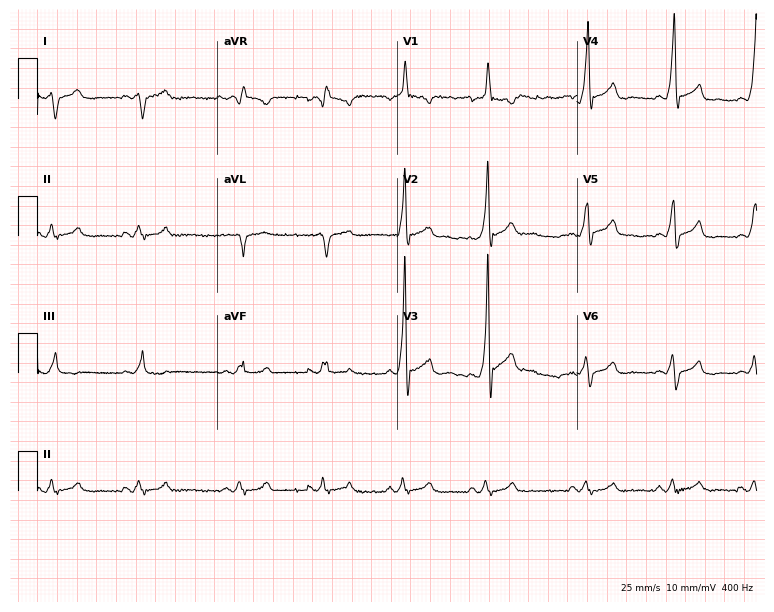
12-lead ECG from a male patient, 30 years old. Screened for six findings — first-degree AV block, right bundle branch block, left bundle branch block, sinus bradycardia, atrial fibrillation, sinus tachycardia — none is recorded.